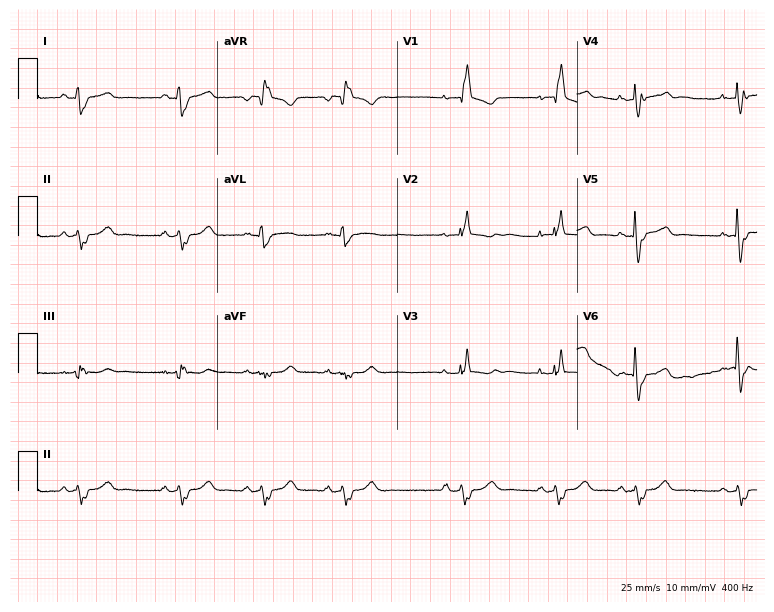
12-lead ECG from a female, 70 years old. Shows right bundle branch block (RBBB).